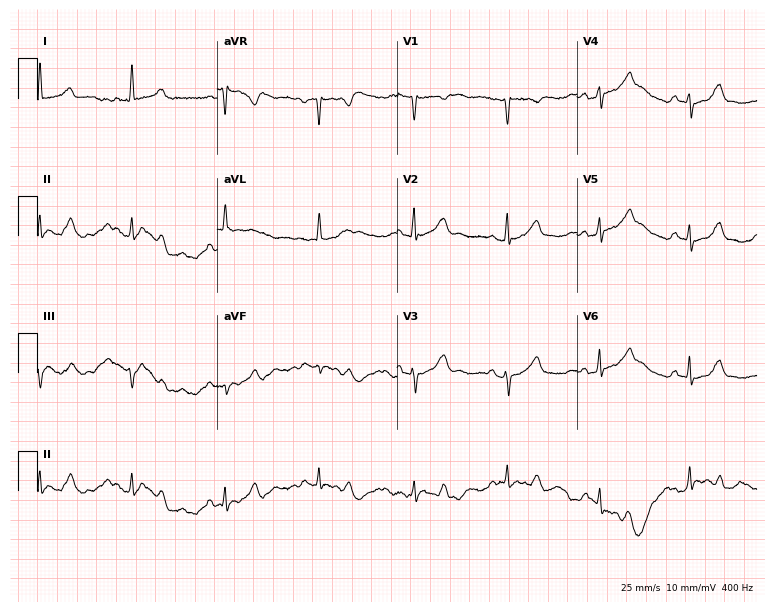
12-lead ECG from a 72-year-old female patient. Recorded interpretation: within normal limits.